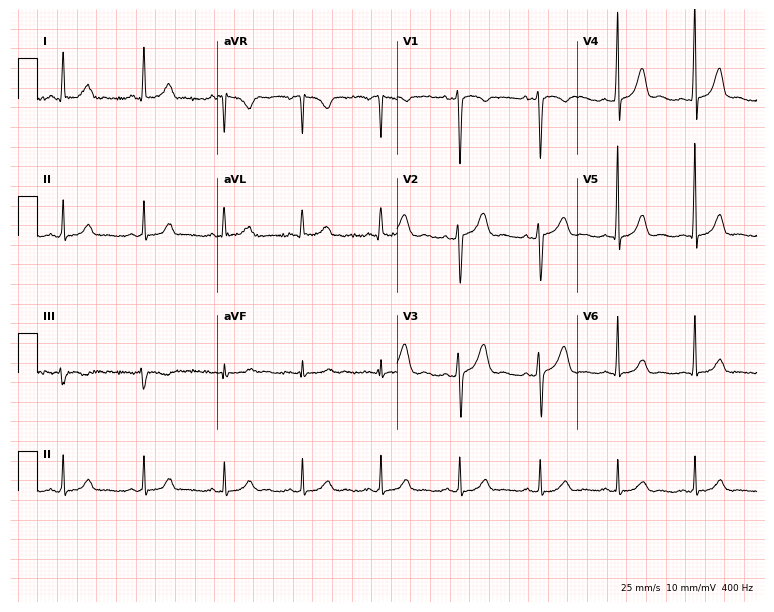
Standard 12-lead ECG recorded from a woman, 40 years old. Read as a normal ECG.